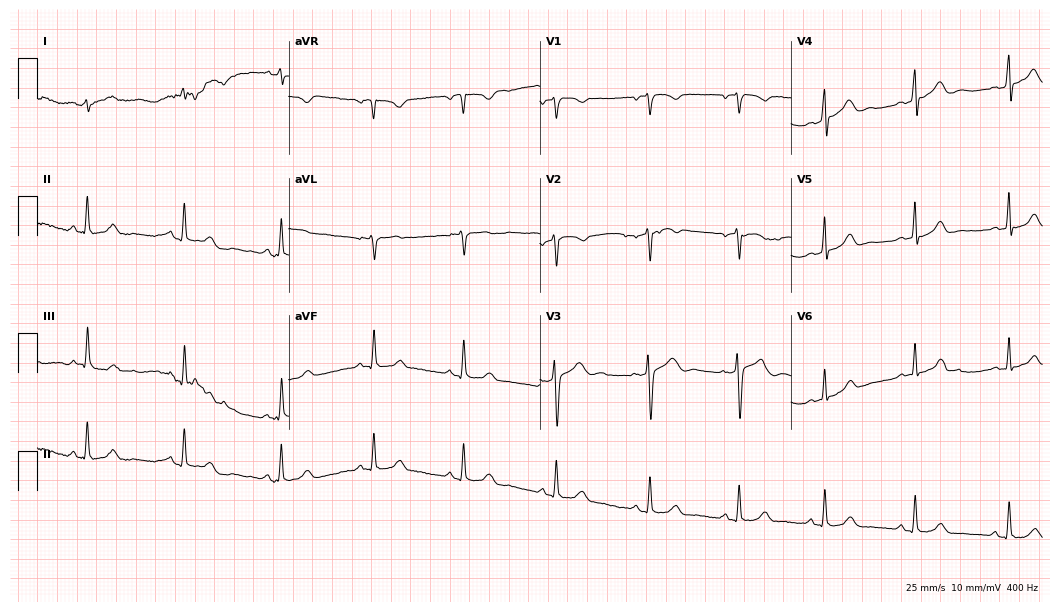
Electrocardiogram, a female, 34 years old. Overall reading on record: normal ECG.